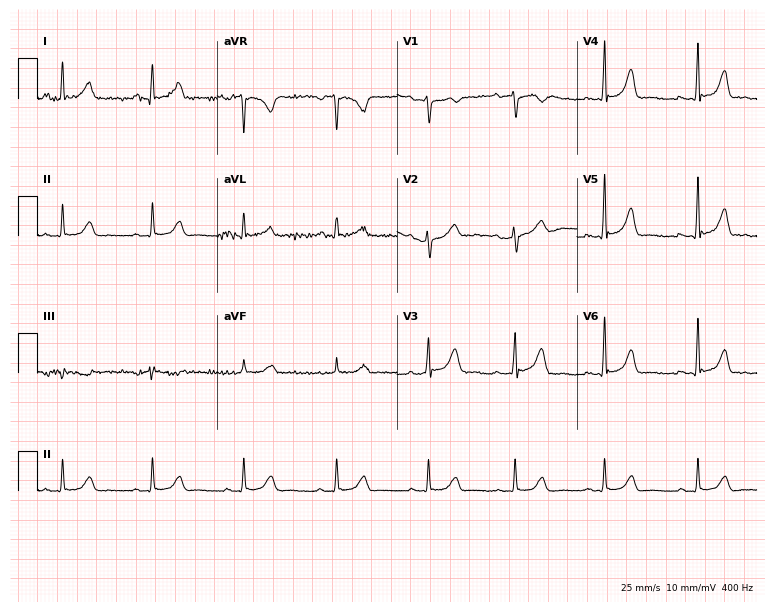
Standard 12-lead ECG recorded from a female, 51 years old (7.3-second recording at 400 Hz). Read as a normal ECG.